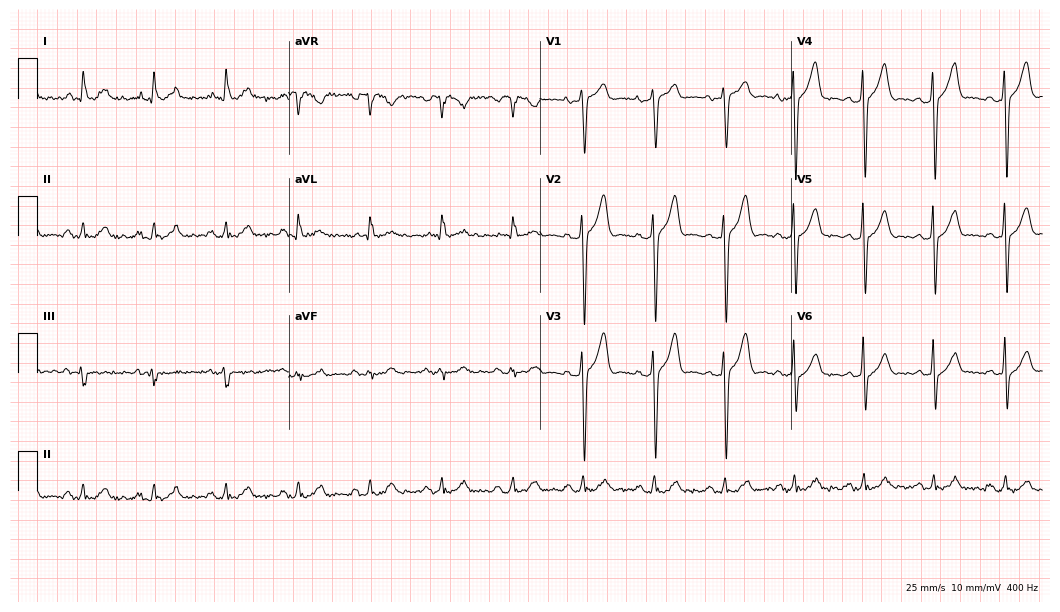
Standard 12-lead ECG recorded from a 52-year-old male (10.2-second recording at 400 Hz). Read as a normal ECG.